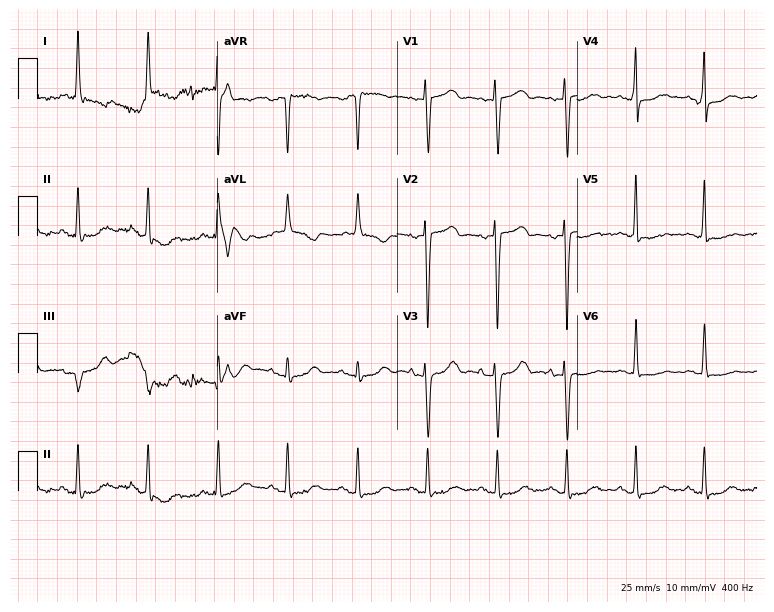
Resting 12-lead electrocardiogram. Patient: a female, 81 years old. None of these six findings is recorded: first-degree AV block, right bundle branch block (RBBB), left bundle branch block (LBBB), sinus bradycardia, atrial fibrillation (AF), sinus tachycardia.